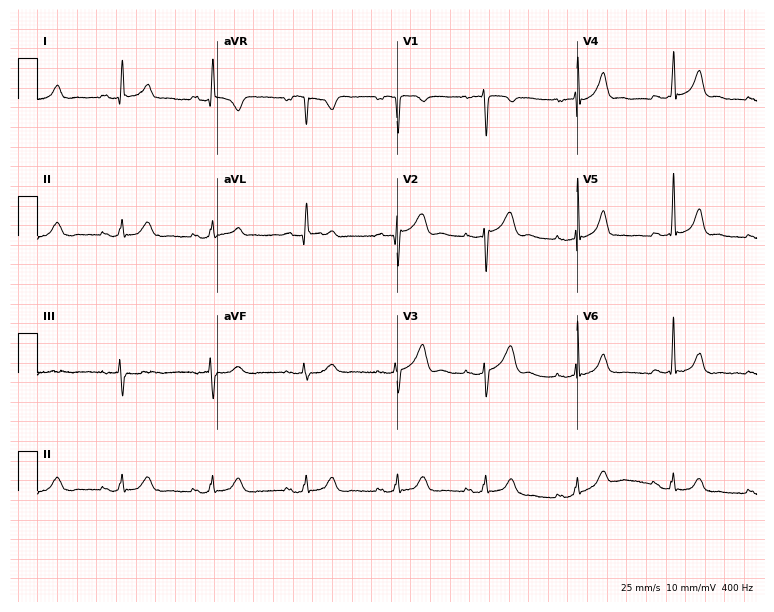
12-lead ECG (7.3-second recording at 400 Hz) from a 37-year-old female patient. Screened for six findings — first-degree AV block, right bundle branch block, left bundle branch block, sinus bradycardia, atrial fibrillation, sinus tachycardia — none is recorded. Findings outside these six are not listed.